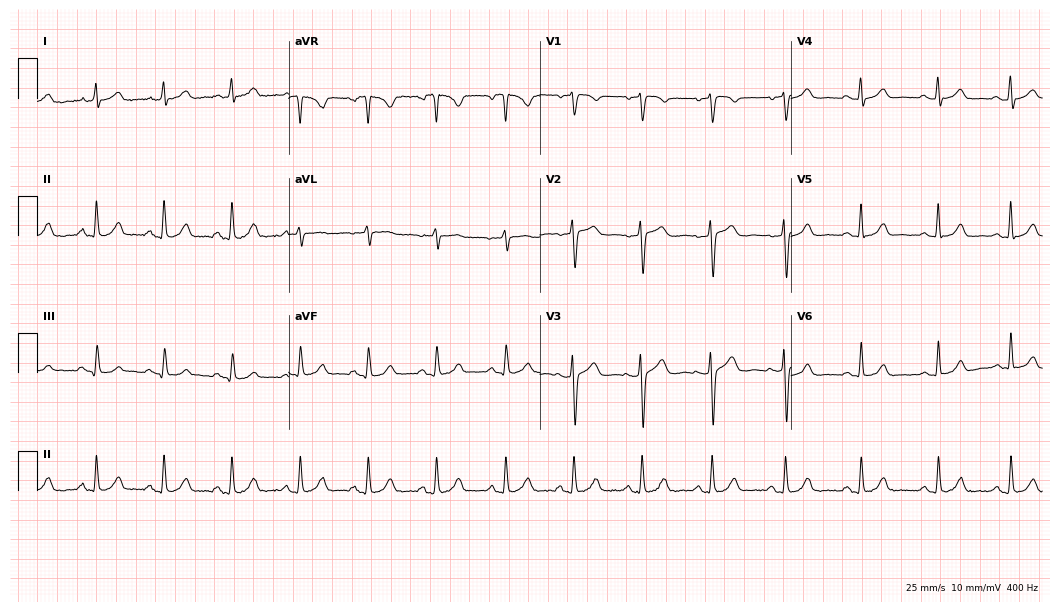
12-lead ECG (10.2-second recording at 400 Hz) from a 31-year-old woman. Labelled as a normal ECG.